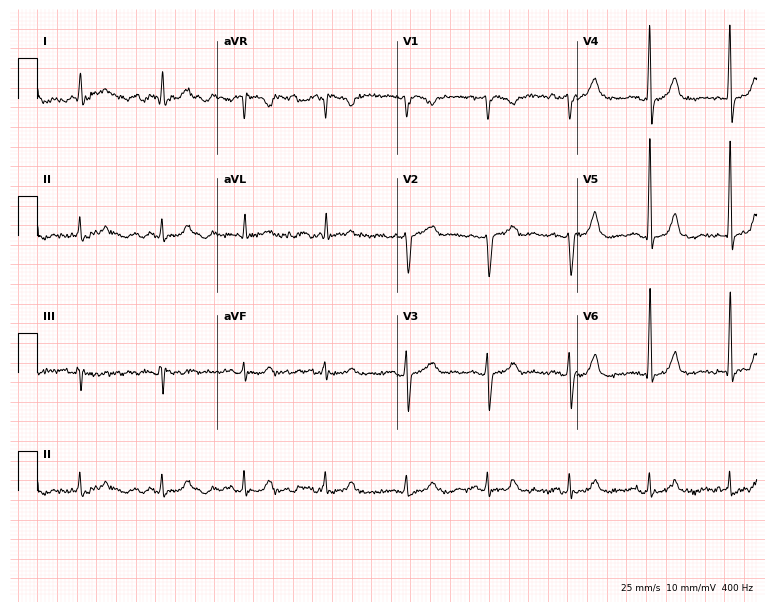
ECG (7.3-second recording at 400 Hz) — a 77-year-old male patient. Screened for six findings — first-degree AV block, right bundle branch block, left bundle branch block, sinus bradycardia, atrial fibrillation, sinus tachycardia — none is recorded.